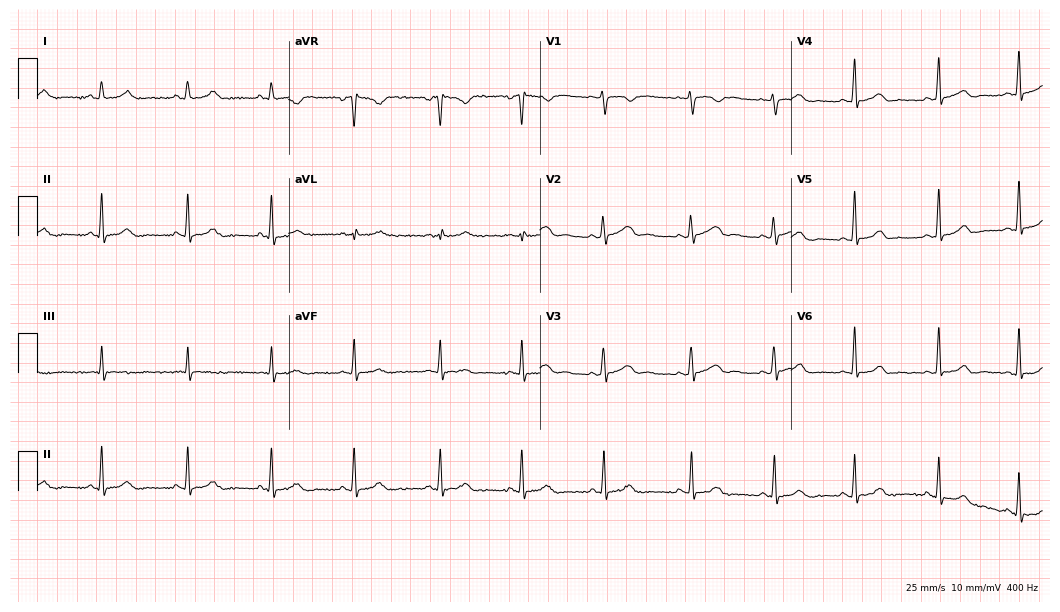
Resting 12-lead electrocardiogram. Patient: a 34-year-old female. Read as a normal ECG.